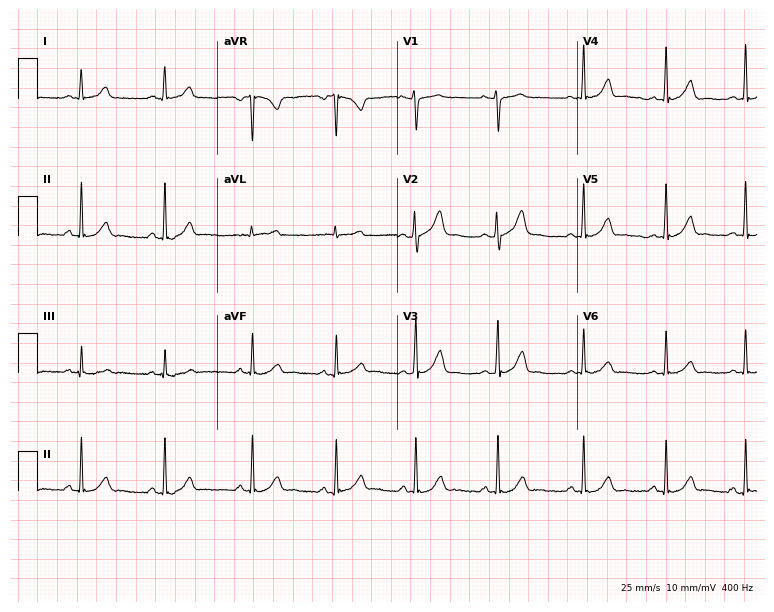
Resting 12-lead electrocardiogram (7.3-second recording at 400 Hz). Patient: a 23-year-old woman. Read as a normal ECG.